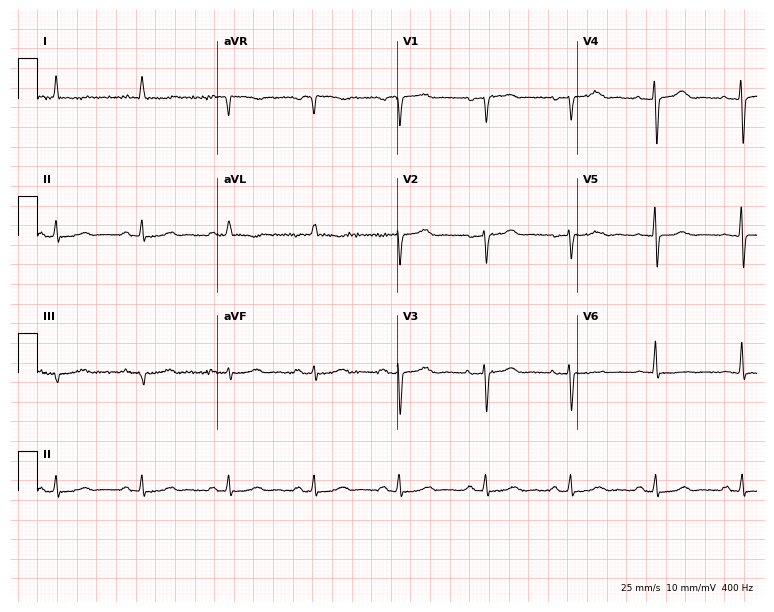
Electrocardiogram (7.3-second recording at 400 Hz), a woman, 67 years old. Of the six screened findings (first-degree AV block, right bundle branch block, left bundle branch block, sinus bradycardia, atrial fibrillation, sinus tachycardia), none is recorded.